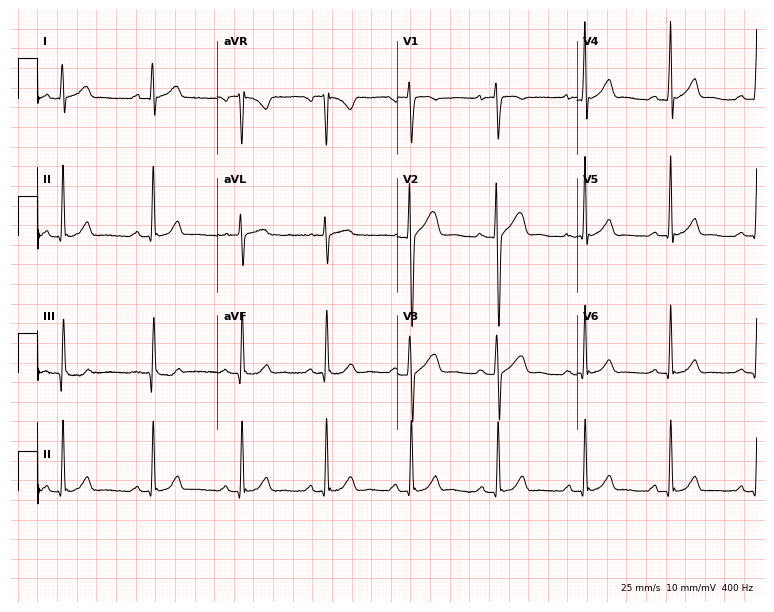
12-lead ECG from an 18-year-old male. Labelled as a normal ECG.